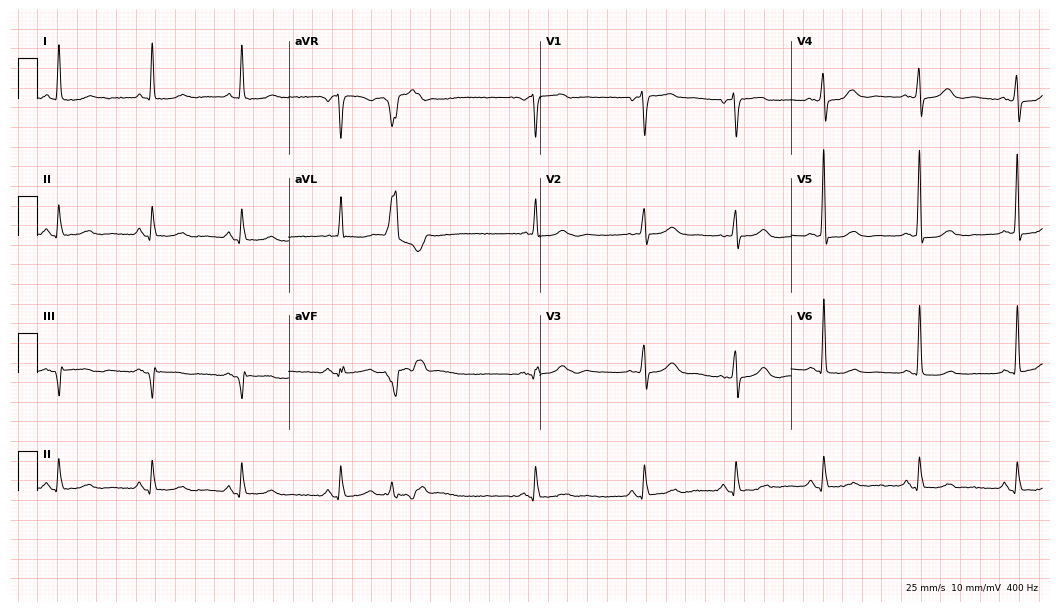
12-lead ECG from a 74-year-old female. No first-degree AV block, right bundle branch block, left bundle branch block, sinus bradycardia, atrial fibrillation or sinus tachycardia recorded for this tracing.